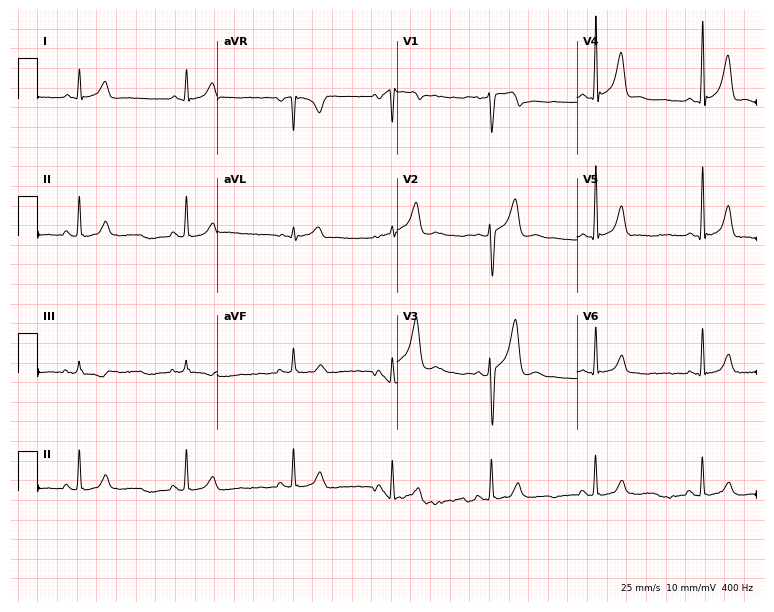
Standard 12-lead ECG recorded from a woman, 35 years old. None of these six findings is recorded: first-degree AV block, right bundle branch block (RBBB), left bundle branch block (LBBB), sinus bradycardia, atrial fibrillation (AF), sinus tachycardia. Other findings, if any, are not listed.